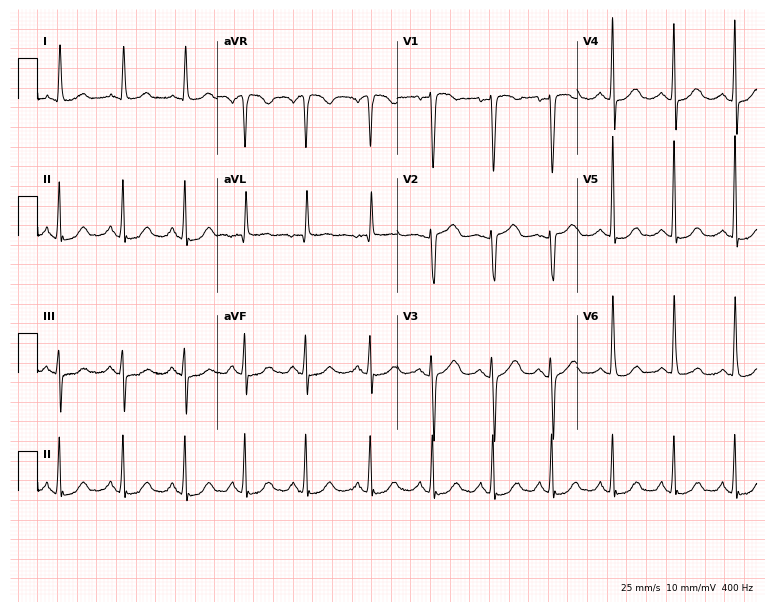
Resting 12-lead electrocardiogram (7.3-second recording at 400 Hz). Patient: a 59-year-old female. None of these six findings is recorded: first-degree AV block, right bundle branch block, left bundle branch block, sinus bradycardia, atrial fibrillation, sinus tachycardia. Other findings, if any, are not listed.